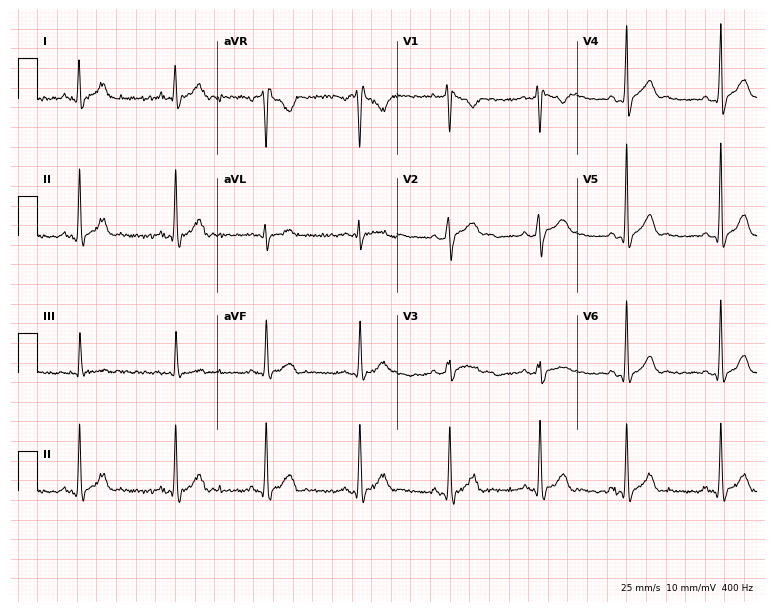
Standard 12-lead ECG recorded from a 20-year-old male. None of these six findings is recorded: first-degree AV block, right bundle branch block, left bundle branch block, sinus bradycardia, atrial fibrillation, sinus tachycardia.